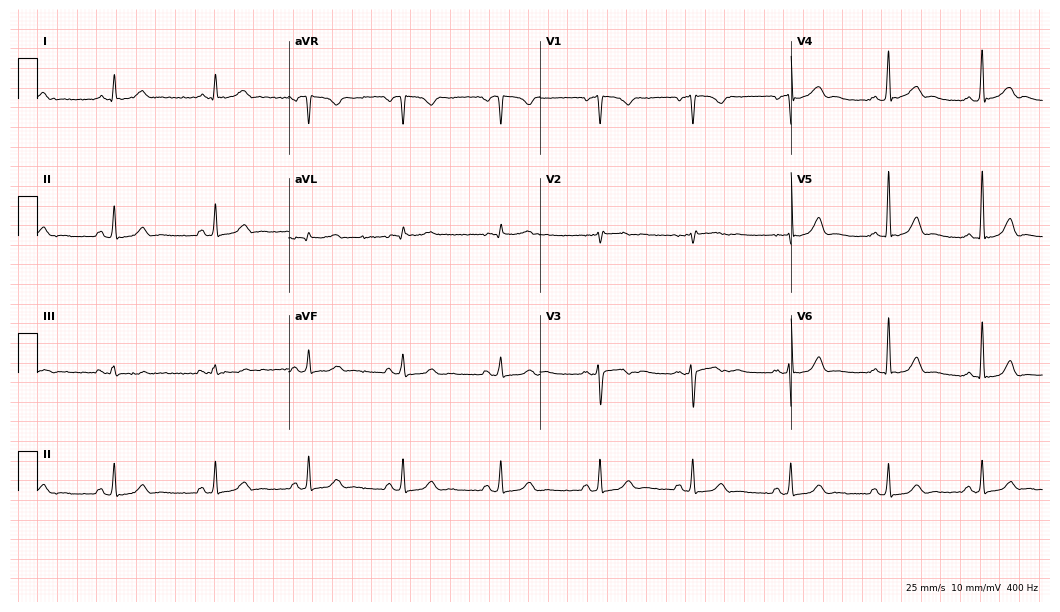
Standard 12-lead ECG recorded from a 23-year-old female patient. Read as a normal ECG.